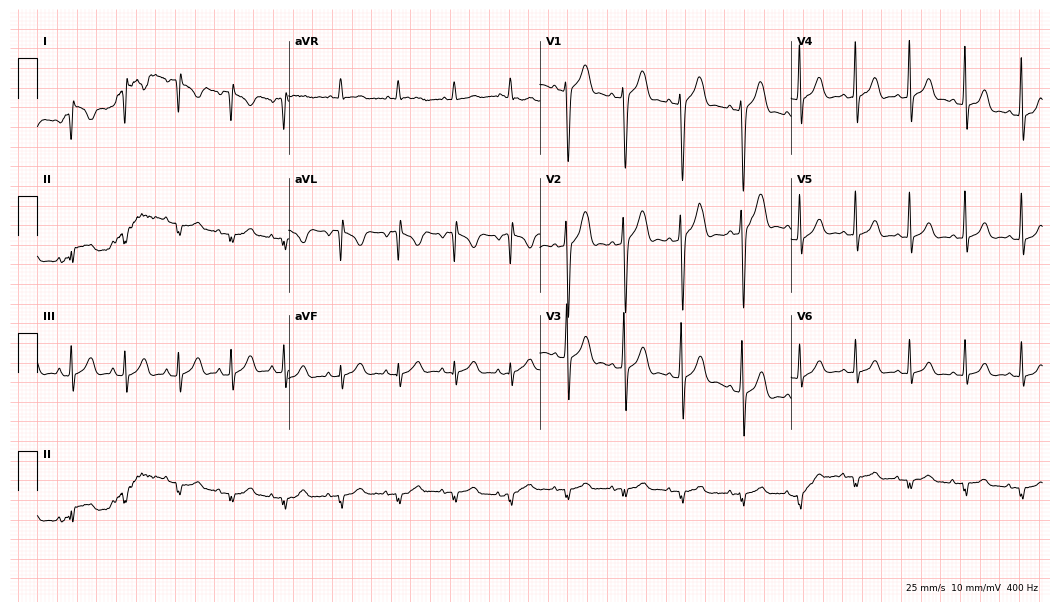
12-lead ECG (10.2-second recording at 400 Hz) from a man, 18 years old. Screened for six findings — first-degree AV block, right bundle branch block (RBBB), left bundle branch block (LBBB), sinus bradycardia, atrial fibrillation (AF), sinus tachycardia — none is recorded.